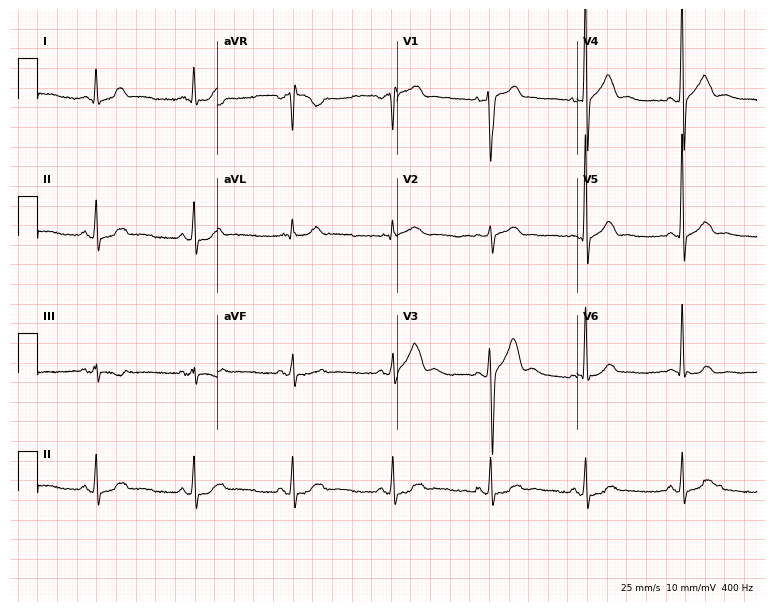
Resting 12-lead electrocardiogram (7.3-second recording at 400 Hz). Patient: a male, 47 years old. Read as a normal ECG.